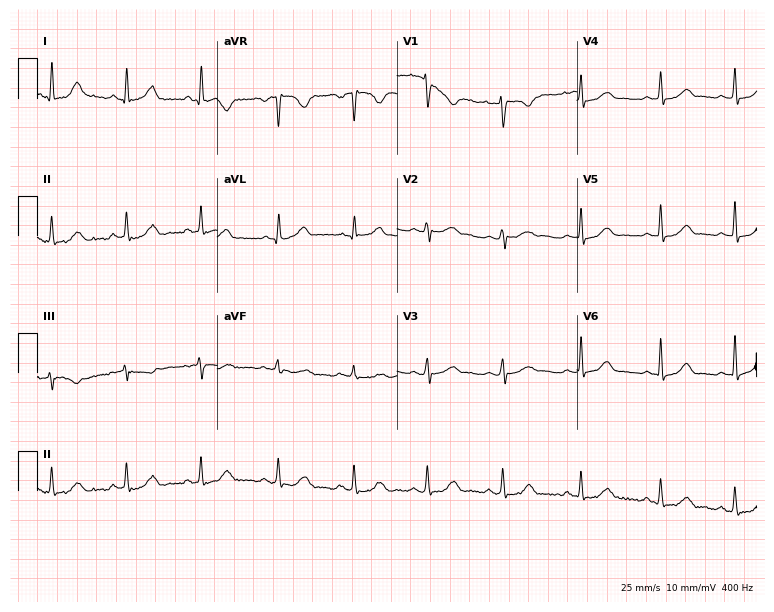
Standard 12-lead ECG recorded from a woman, 38 years old. None of these six findings is recorded: first-degree AV block, right bundle branch block, left bundle branch block, sinus bradycardia, atrial fibrillation, sinus tachycardia. Findings outside these six are not listed.